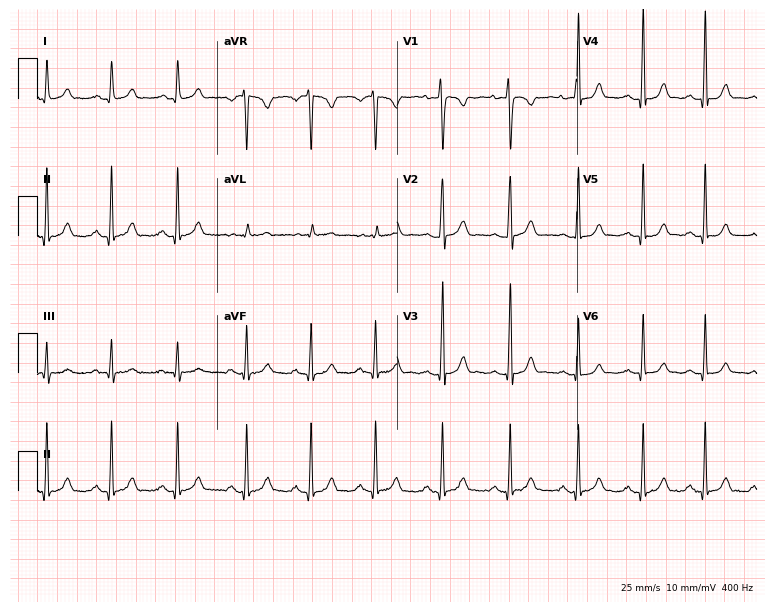
12-lead ECG from a 24-year-old woman. Recorded interpretation: within normal limits.